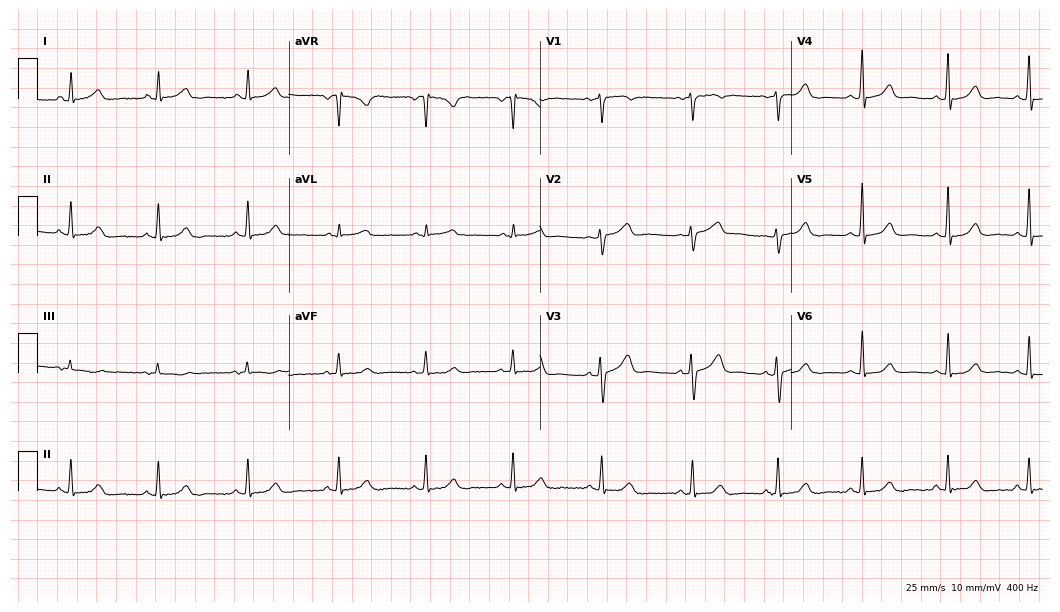
12-lead ECG (10.2-second recording at 400 Hz) from a female patient, 48 years old. Labelled as a normal ECG.